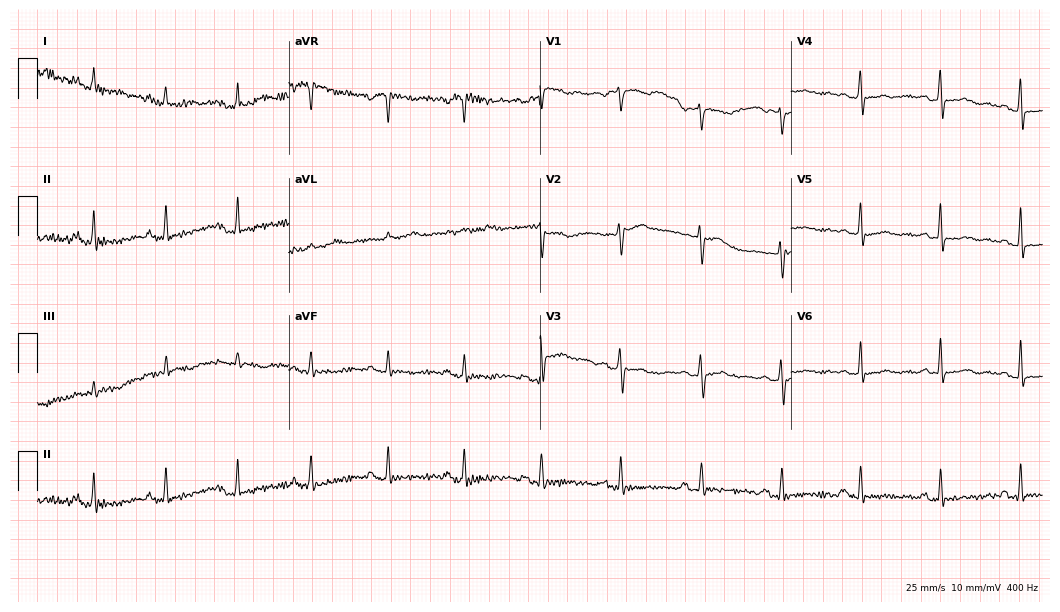
Electrocardiogram (10.2-second recording at 400 Hz), a 49-year-old female patient. Of the six screened findings (first-degree AV block, right bundle branch block, left bundle branch block, sinus bradycardia, atrial fibrillation, sinus tachycardia), none is recorded.